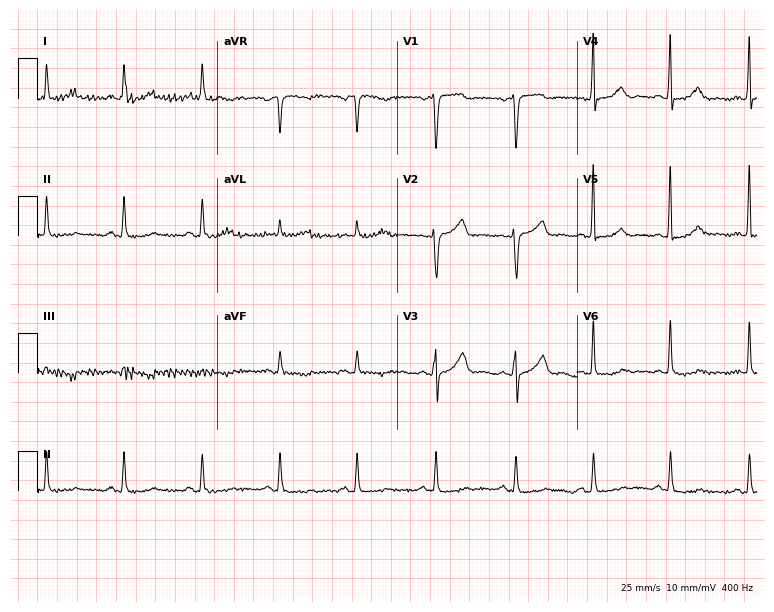
12-lead ECG from a 76-year-old female (7.3-second recording at 400 Hz). No first-degree AV block, right bundle branch block, left bundle branch block, sinus bradycardia, atrial fibrillation or sinus tachycardia recorded for this tracing. Findings outside these six are not listed.